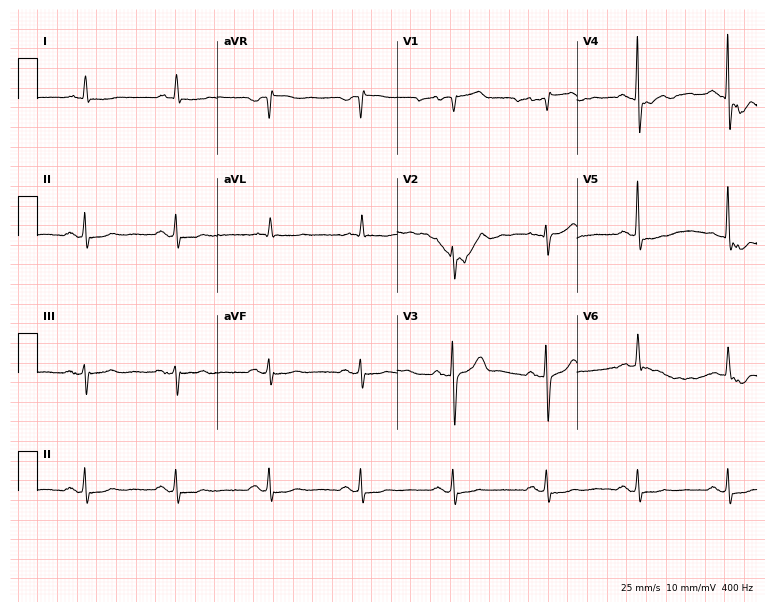
12-lead ECG from an 81-year-old man. Screened for six findings — first-degree AV block, right bundle branch block, left bundle branch block, sinus bradycardia, atrial fibrillation, sinus tachycardia — none is recorded. Findings outside these six are not listed.